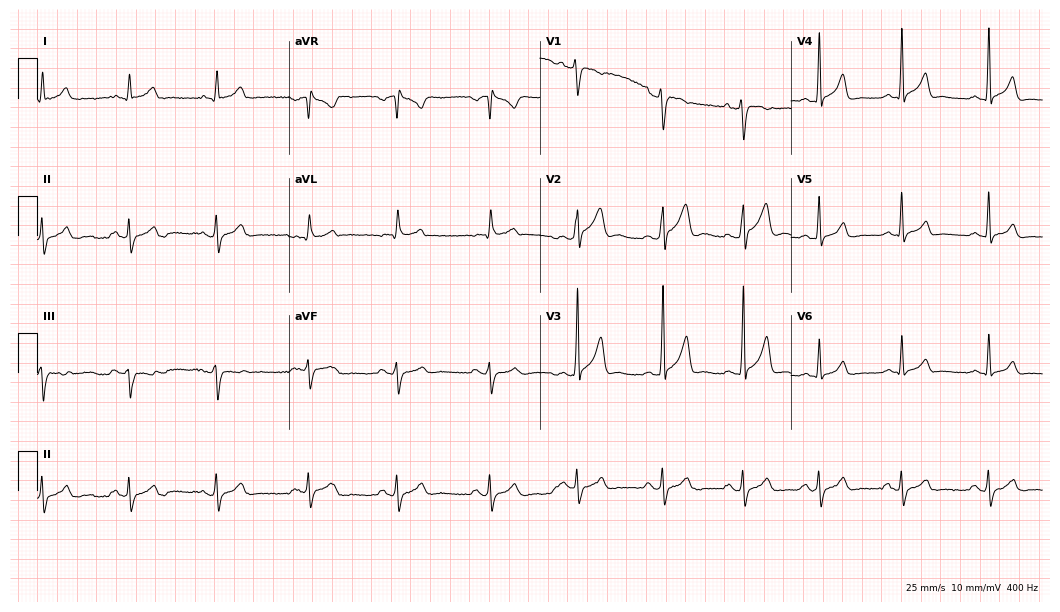
Resting 12-lead electrocardiogram (10.2-second recording at 400 Hz). Patient: a man, 30 years old. None of these six findings is recorded: first-degree AV block, right bundle branch block, left bundle branch block, sinus bradycardia, atrial fibrillation, sinus tachycardia. Findings outside these six are not listed.